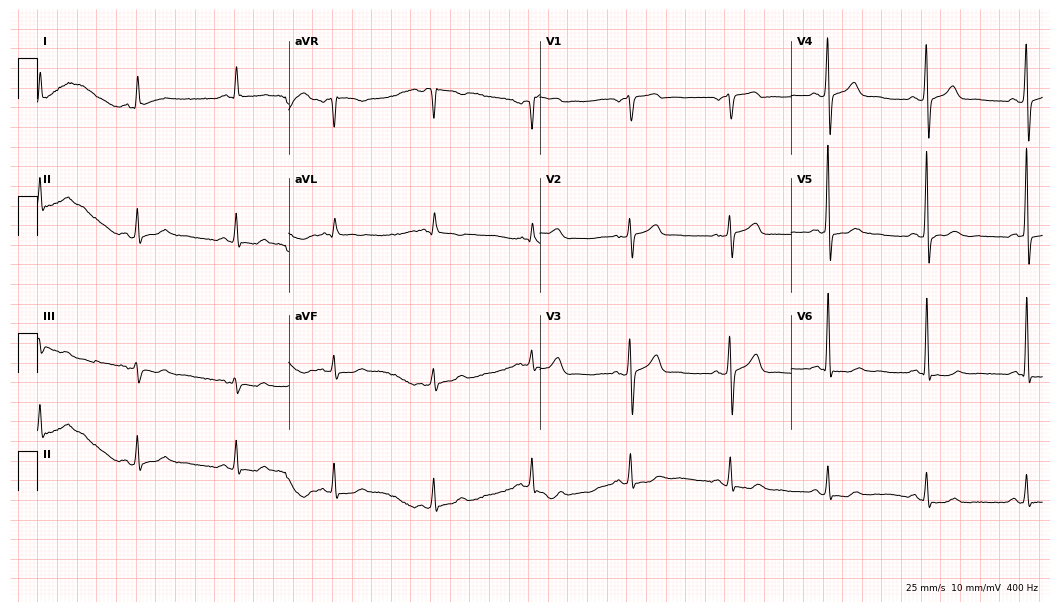
Standard 12-lead ECG recorded from a 64-year-old male (10.2-second recording at 400 Hz). None of these six findings is recorded: first-degree AV block, right bundle branch block, left bundle branch block, sinus bradycardia, atrial fibrillation, sinus tachycardia. Findings outside these six are not listed.